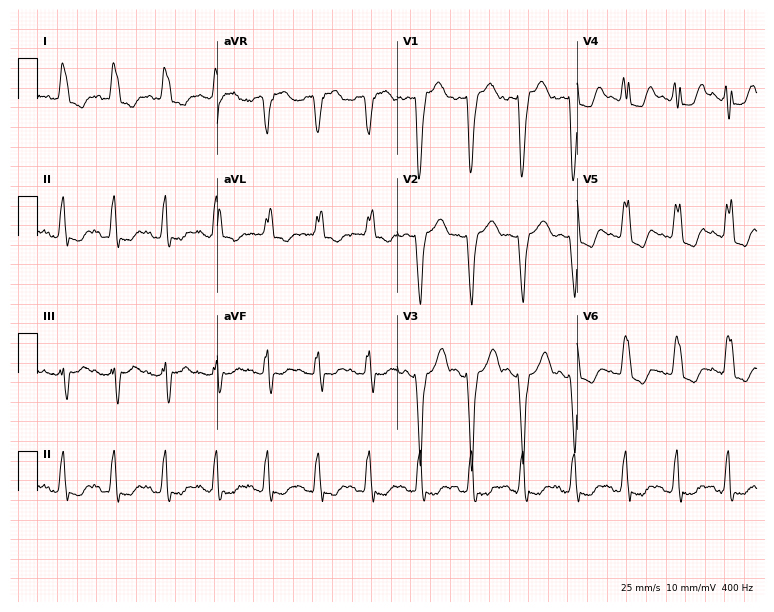
ECG — an 81-year-old female patient. Findings include left bundle branch block, sinus tachycardia (a sinus rate of 100 beats per minute or more).